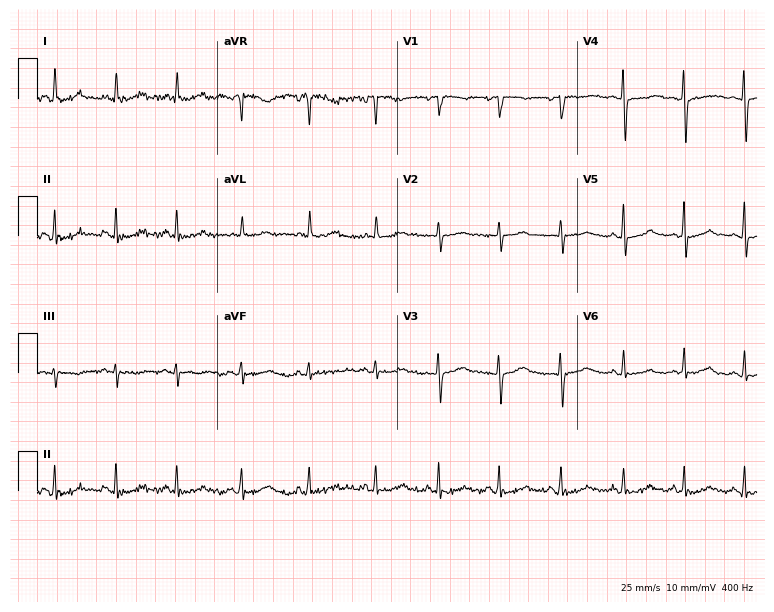
ECG — a 34-year-old female patient. Screened for six findings — first-degree AV block, right bundle branch block, left bundle branch block, sinus bradycardia, atrial fibrillation, sinus tachycardia — none is recorded.